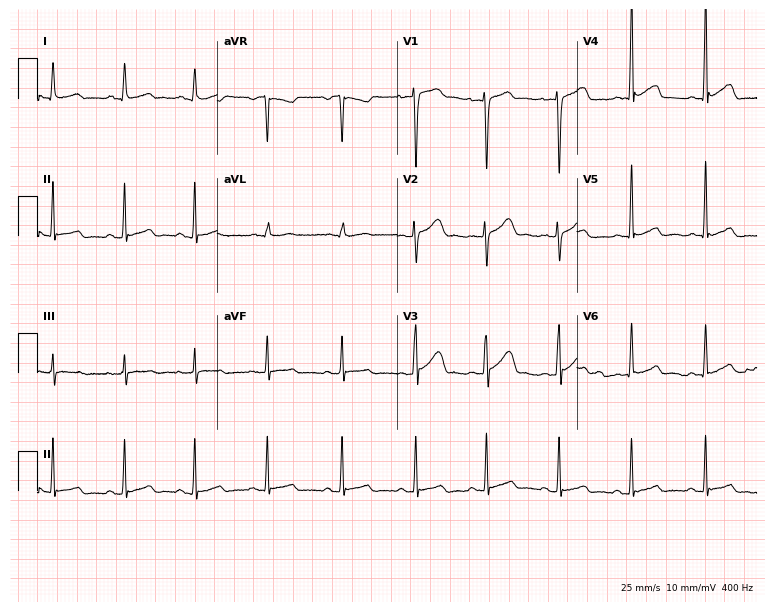
12-lead ECG from a 20-year-old male. Labelled as a normal ECG.